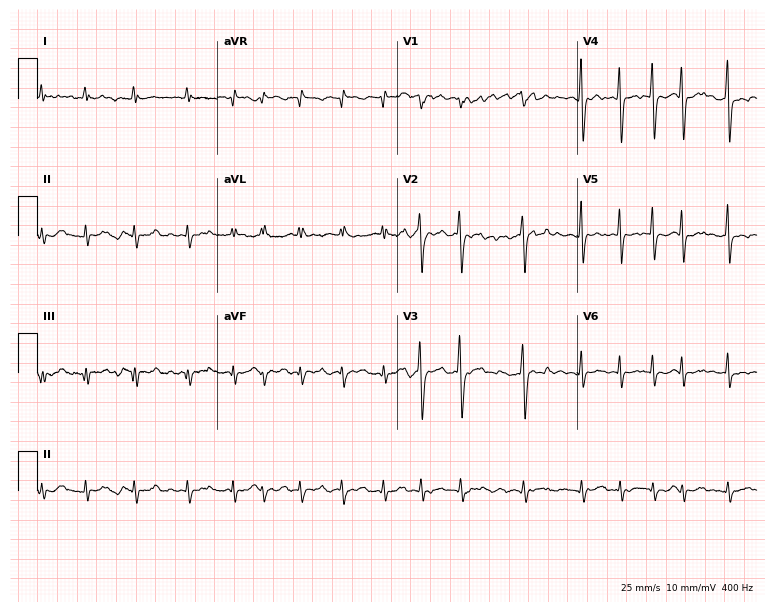
Resting 12-lead electrocardiogram (7.3-second recording at 400 Hz). Patient: a 55-year-old male. The tracing shows atrial fibrillation.